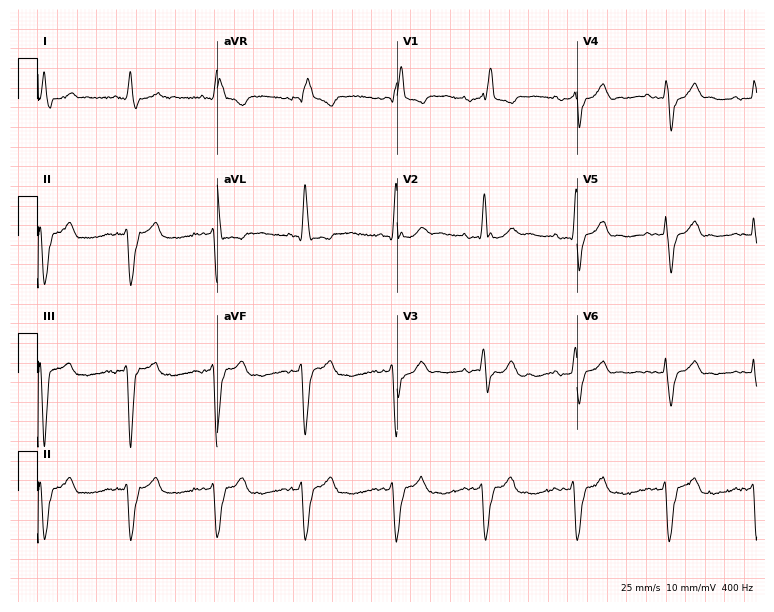
Electrocardiogram, a male, 85 years old. Interpretation includes right bundle branch block.